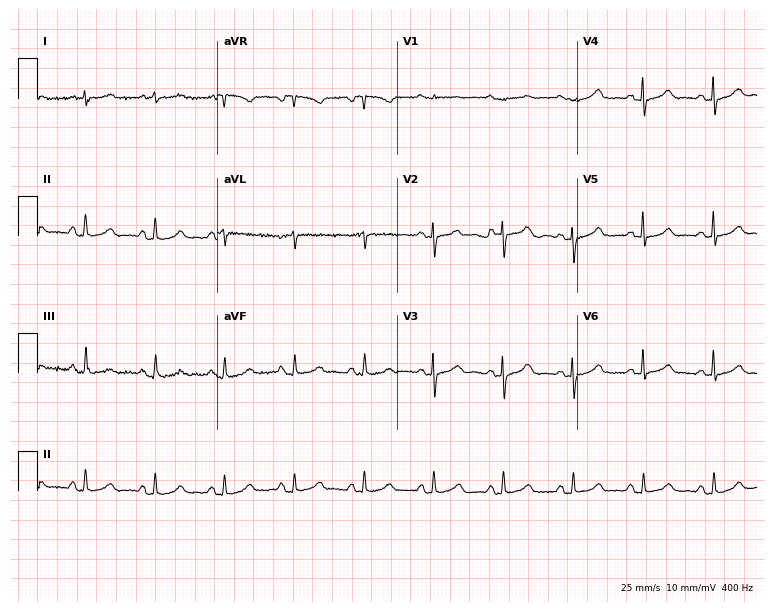
Electrocardiogram, a woman, 71 years old. Overall reading on record: normal ECG.